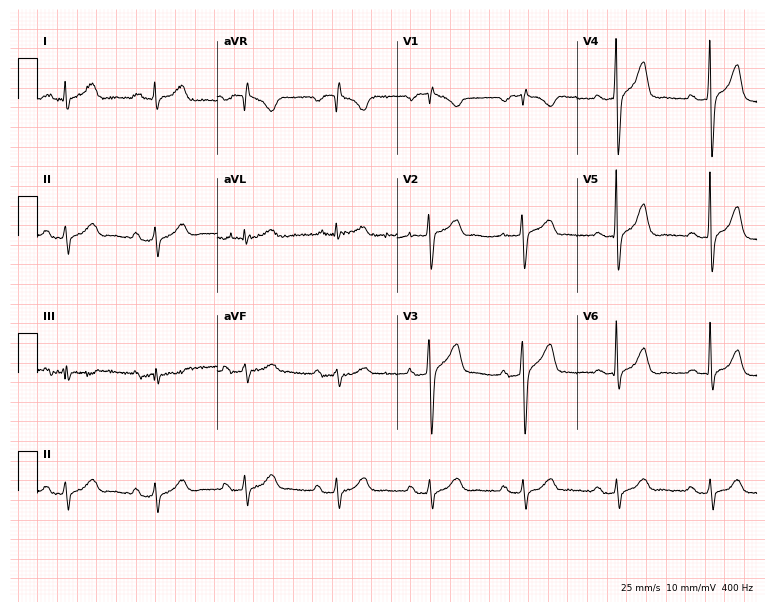
12-lead ECG (7.3-second recording at 400 Hz) from a 69-year-old man. Screened for six findings — first-degree AV block, right bundle branch block, left bundle branch block, sinus bradycardia, atrial fibrillation, sinus tachycardia — none is recorded.